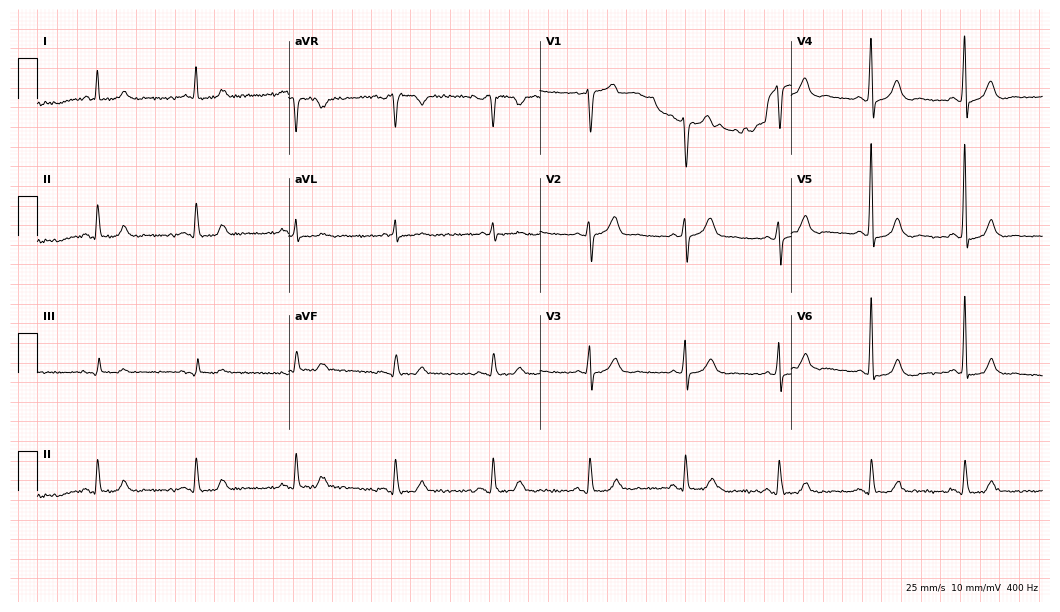
Electrocardiogram (10.2-second recording at 400 Hz), a man, 85 years old. Of the six screened findings (first-degree AV block, right bundle branch block (RBBB), left bundle branch block (LBBB), sinus bradycardia, atrial fibrillation (AF), sinus tachycardia), none is recorded.